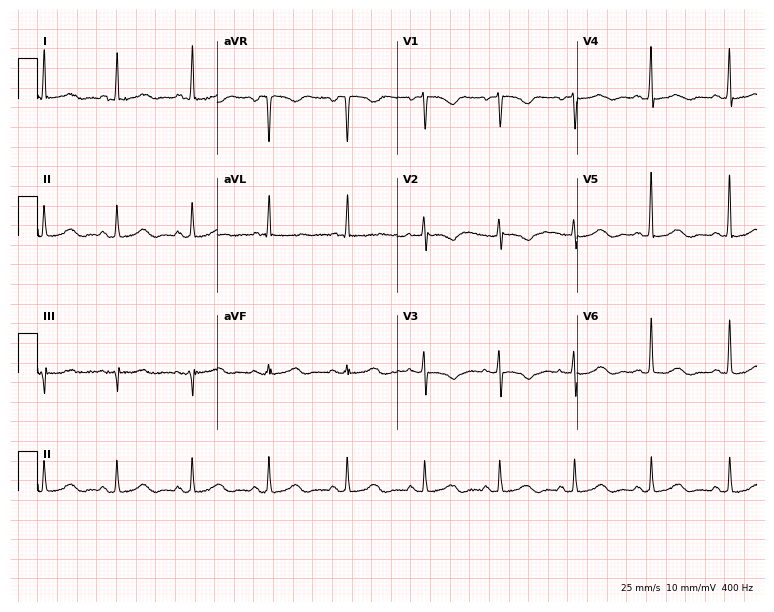
Standard 12-lead ECG recorded from a 60-year-old female (7.3-second recording at 400 Hz). None of these six findings is recorded: first-degree AV block, right bundle branch block, left bundle branch block, sinus bradycardia, atrial fibrillation, sinus tachycardia. Findings outside these six are not listed.